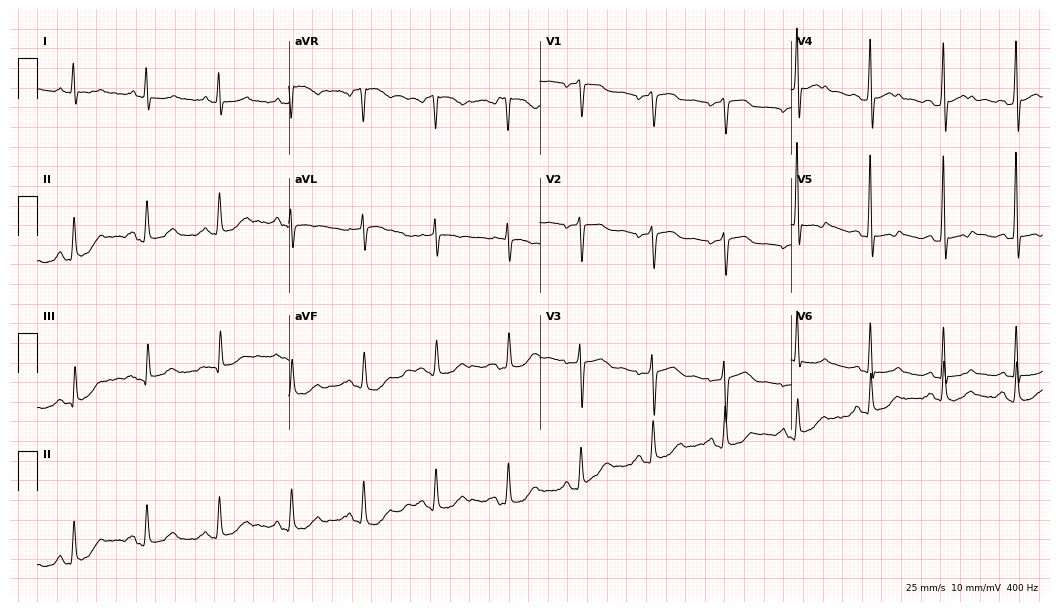
ECG (10.2-second recording at 400 Hz) — a man, 72 years old. Screened for six findings — first-degree AV block, right bundle branch block (RBBB), left bundle branch block (LBBB), sinus bradycardia, atrial fibrillation (AF), sinus tachycardia — none is recorded.